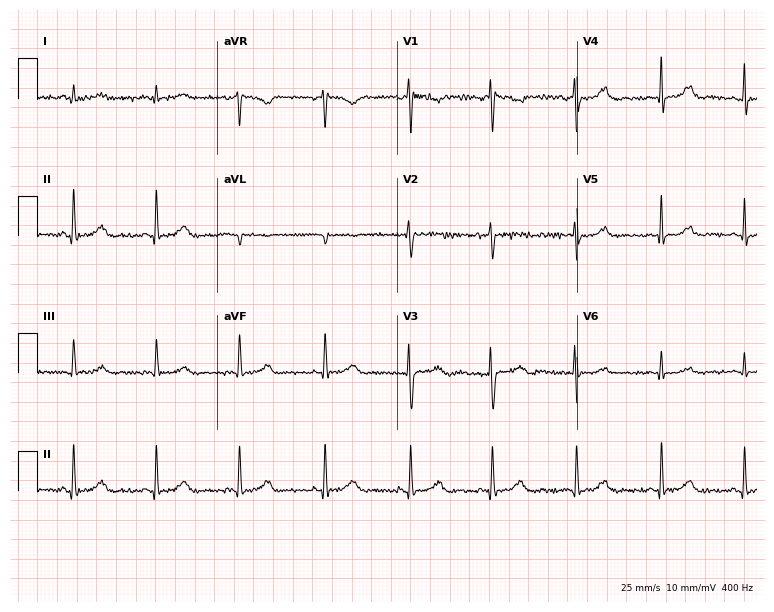
Electrocardiogram (7.3-second recording at 400 Hz), a female, 34 years old. Overall reading on record: normal ECG.